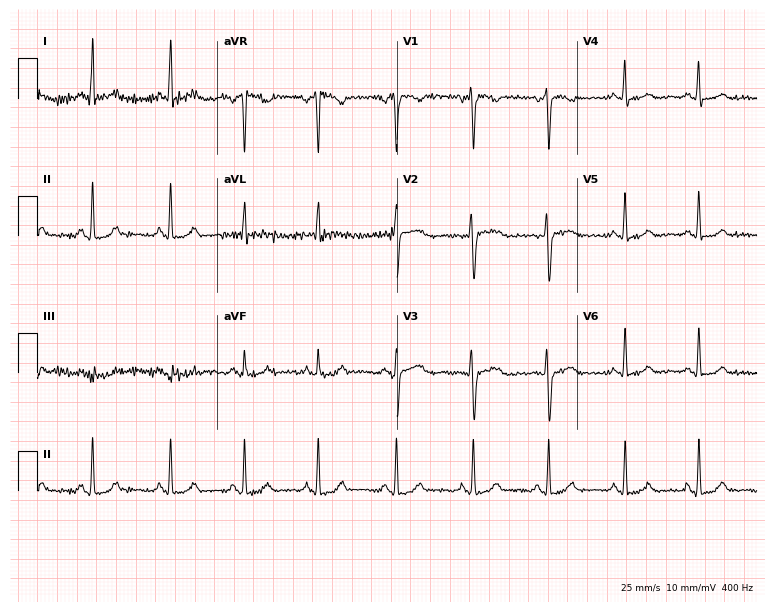
Resting 12-lead electrocardiogram. Patient: a woman, 31 years old. None of these six findings is recorded: first-degree AV block, right bundle branch block, left bundle branch block, sinus bradycardia, atrial fibrillation, sinus tachycardia. Other findings, if any, are not listed.